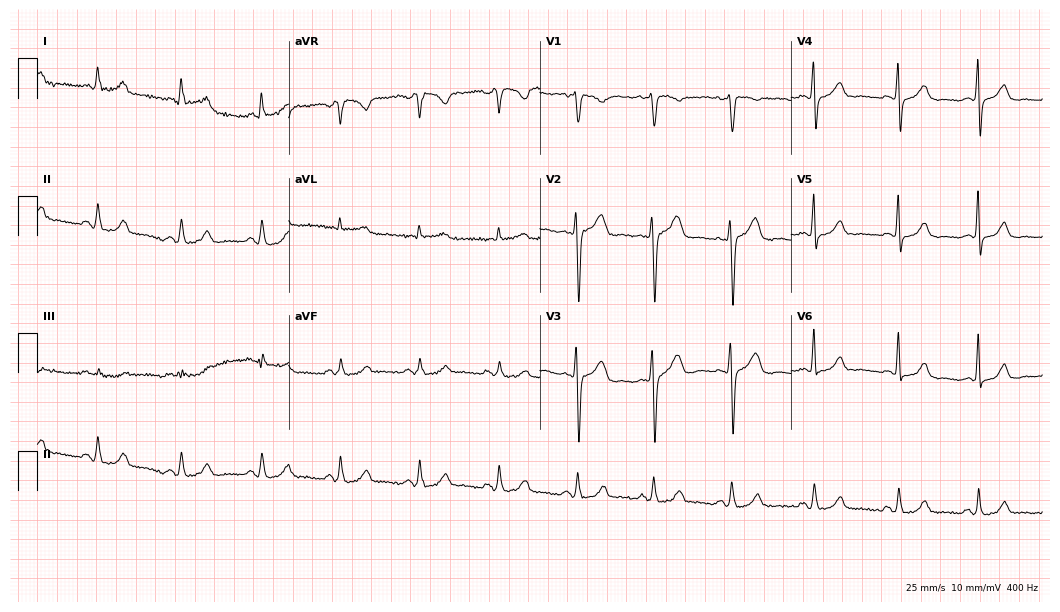
Standard 12-lead ECG recorded from a female patient, 37 years old. Read as a normal ECG.